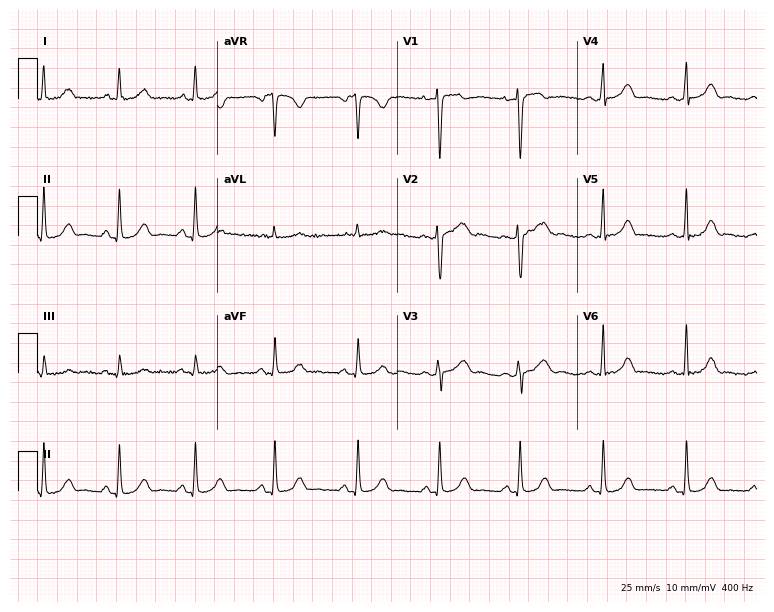
Electrocardiogram (7.3-second recording at 400 Hz), a woman, 32 years old. Of the six screened findings (first-degree AV block, right bundle branch block, left bundle branch block, sinus bradycardia, atrial fibrillation, sinus tachycardia), none is recorded. Only these six findings were labelled.